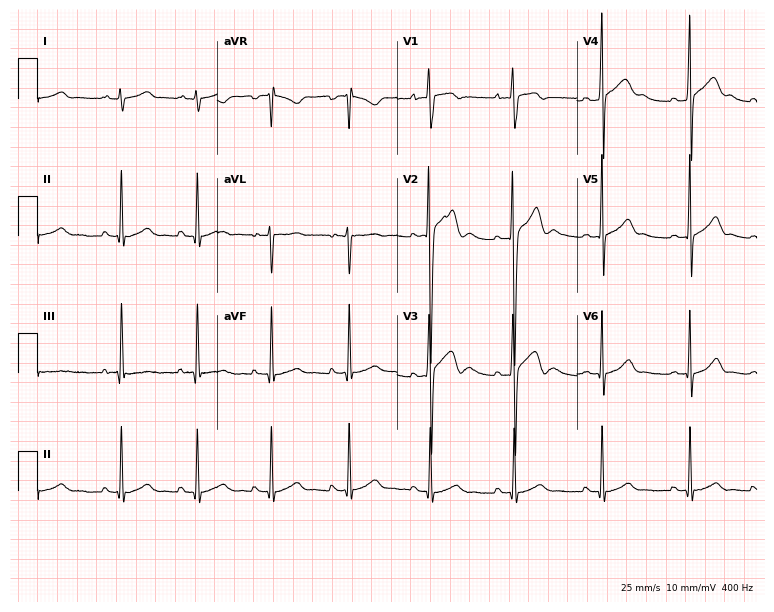
12-lead ECG from a 17-year-old male (7.3-second recording at 400 Hz). Recorded interpretation: within normal limits.